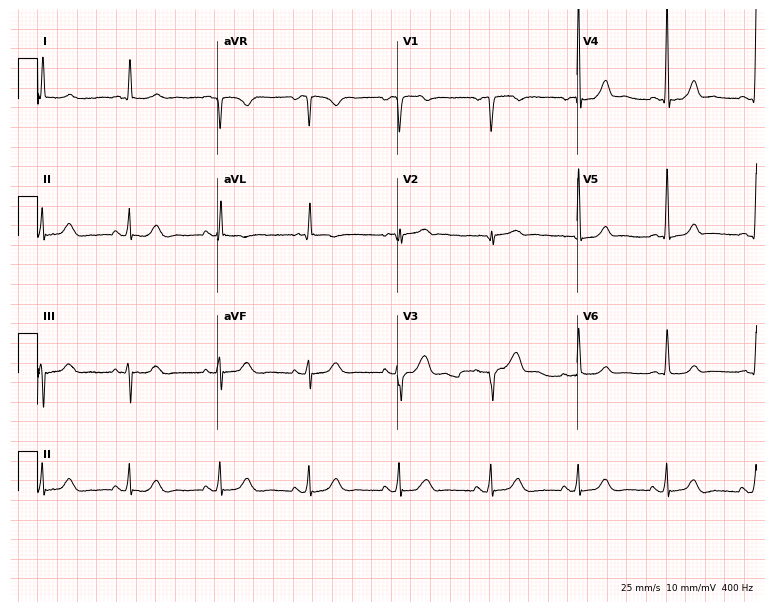
Resting 12-lead electrocardiogram (7.3-second recording at 400 Hz). Patient: a 58-year-old female. None of these six findings is recorded: first-degree AV block, right bundle branch block, left bundle branch block, sinus bradycardia, atrial fibrillation, sinus tachycardia. Findings outside these six are not listed.